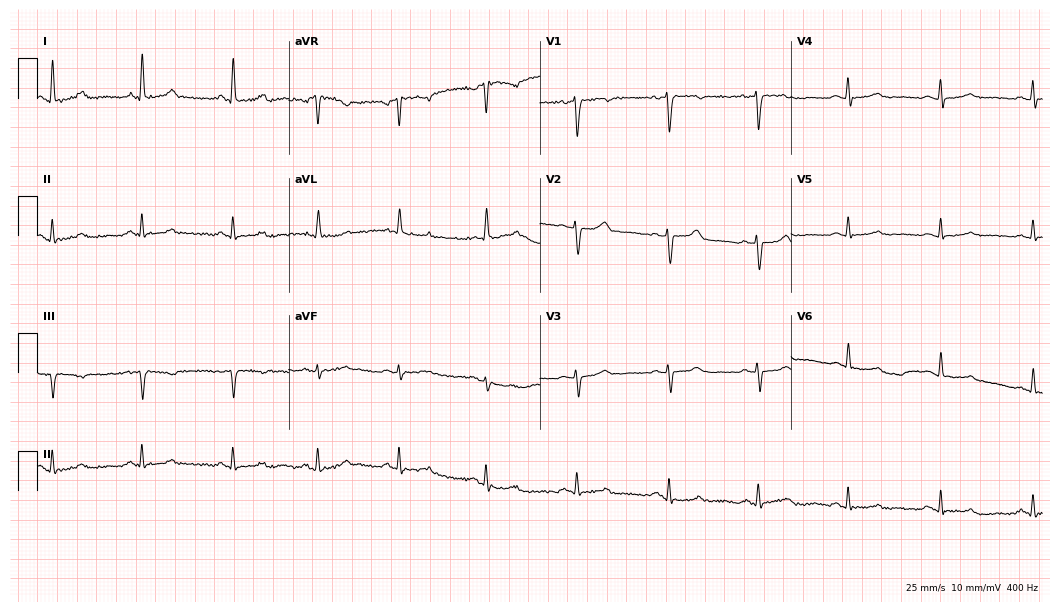
Resting 12-lead electrocardiogram. Patient: a female, 54 years old. None of these six findings is recorded: first-degree AV block, right bundle branch block (RBBB), left bundle branch block (LBBB), sinus bradycardia, atrial fibrillation (AF), sinus tachycardia.